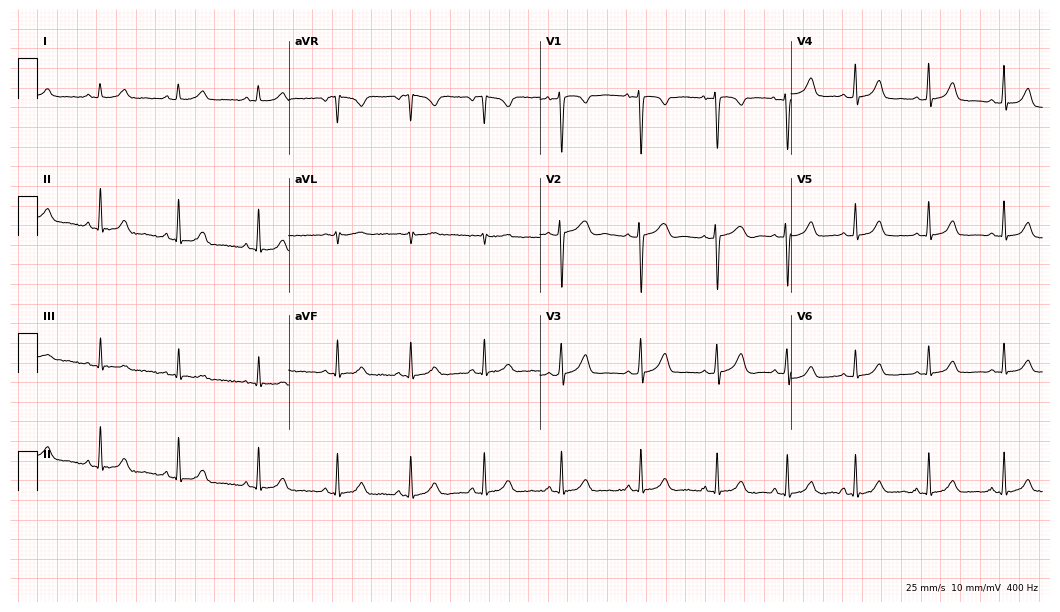
12-lead ECG (10.2-second recording at 400 Hz) from a 22-year-old female. Labelled as a normal ECG.